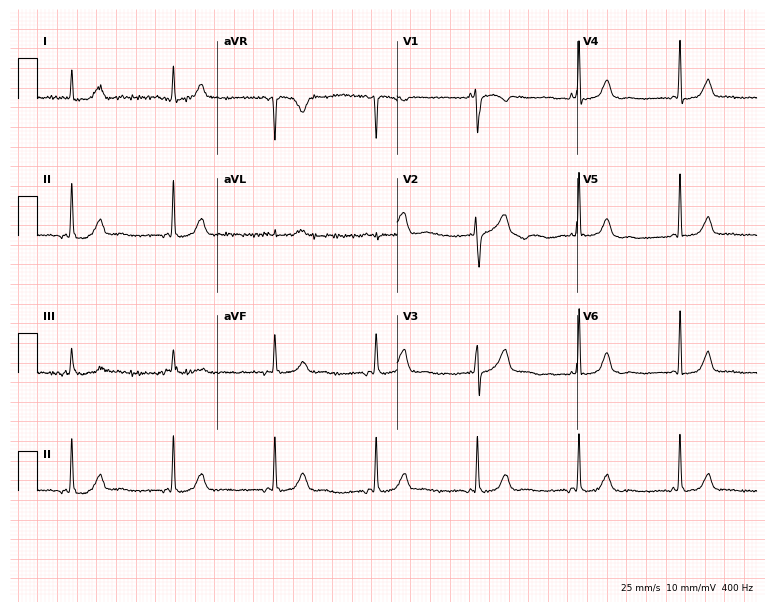
ECG (7.3-second recording at 400 Hz) — a female patient, 43 years old. Screened for six findings — first-degree AV block, right bundle branch block, left bundle branch block, sinus bradycardia, atrial fibrillation, sinus tachycardia — none is recorded. Findings outside these six are not listed.